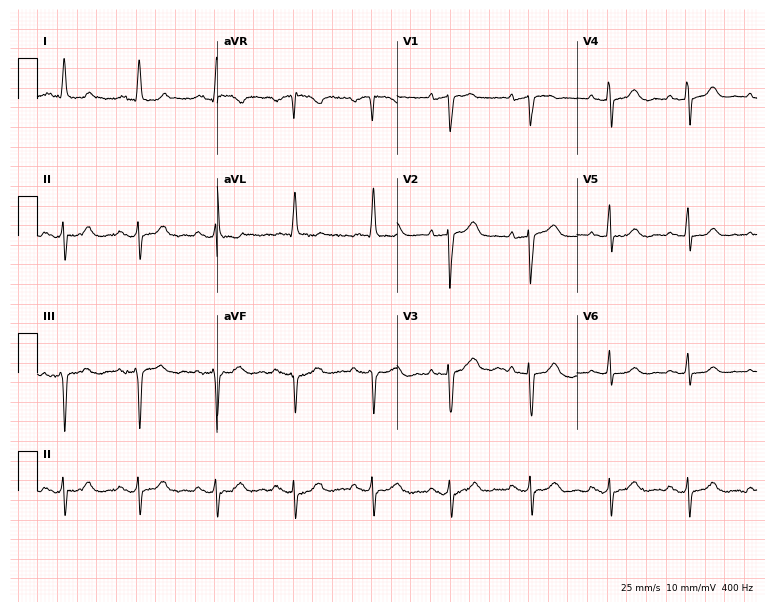
12-lead ECG from a 70-year-old female patient. No first-degree AV block, right bundle branch block, left bundle branch block, sinus bradycardia, atrial fibrillation or sinus tachycardia recorded for this tracing.